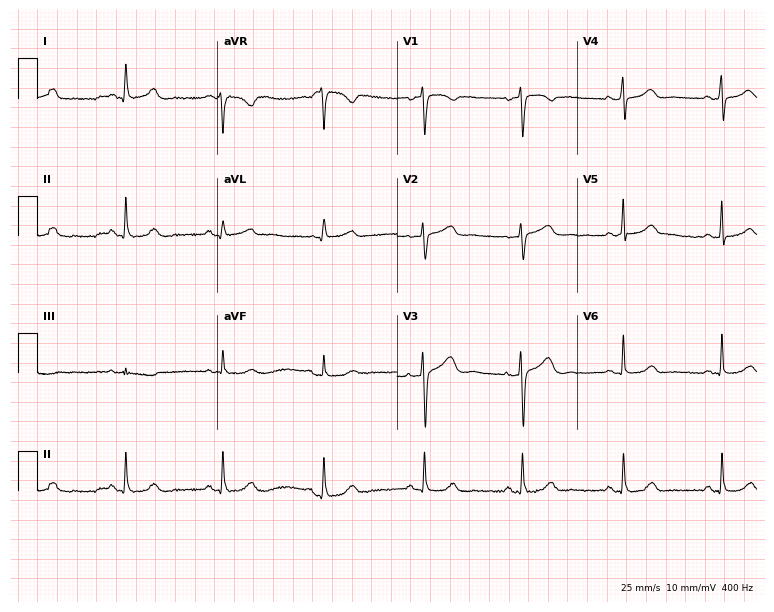
Standard 12-lead ECG recorded from a female, 31 years old (7.3-second recording at 400 Hz). Read as a normal ECG.